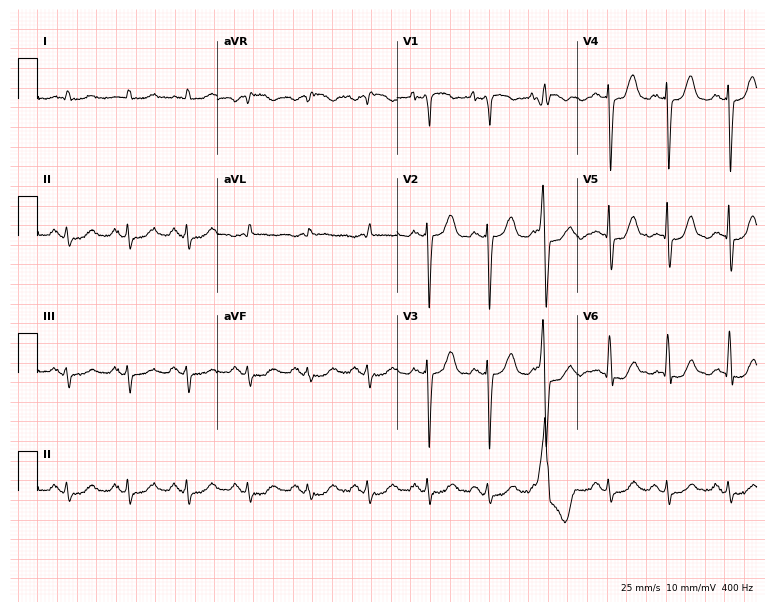
Electrocardiogram (7.3-second recording at 400 Hz), an 80-year-old female patient. Of the six screened findings (first-degree AV block, right bundle branch block, left bundle branch block, sinus bradycardia, atrial fibrillation, sinus tachycardia), none is recorded.